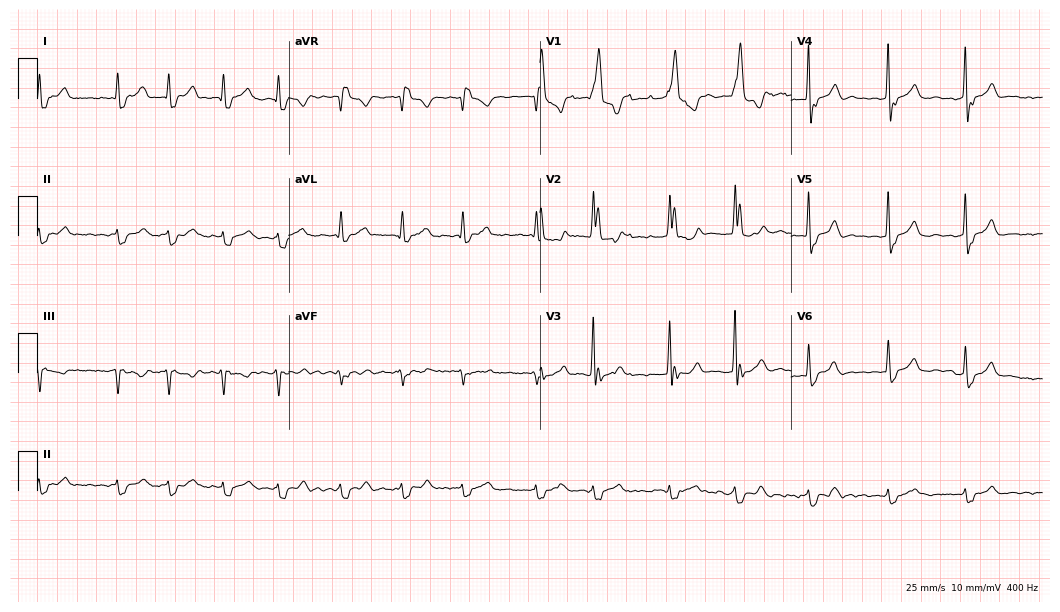
12-lead ECG from a 79-year-old male (10.2-second recording at 400 Hz). Shows right bundle branch block, atrial fibrillation.